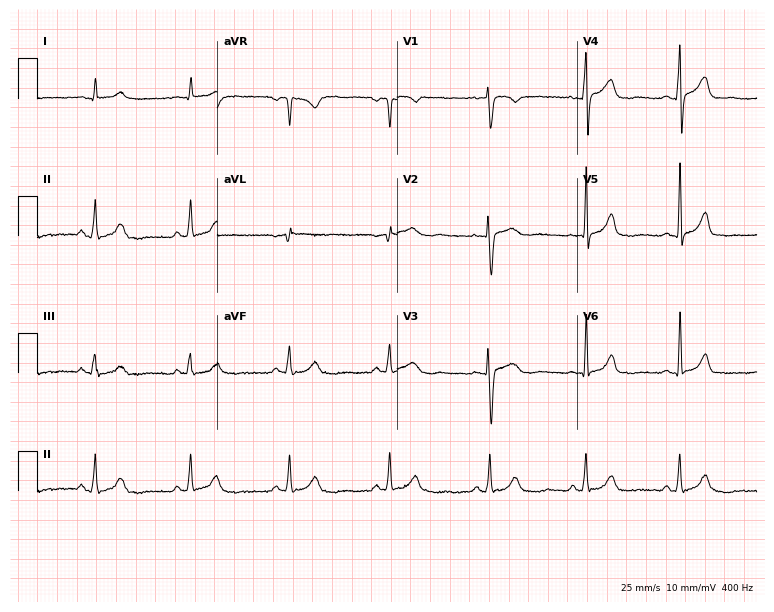
Electrocardiogram (7.3-second recording at 400 Hz), a 43-year-old female. Overall reading on record: normal ECG.